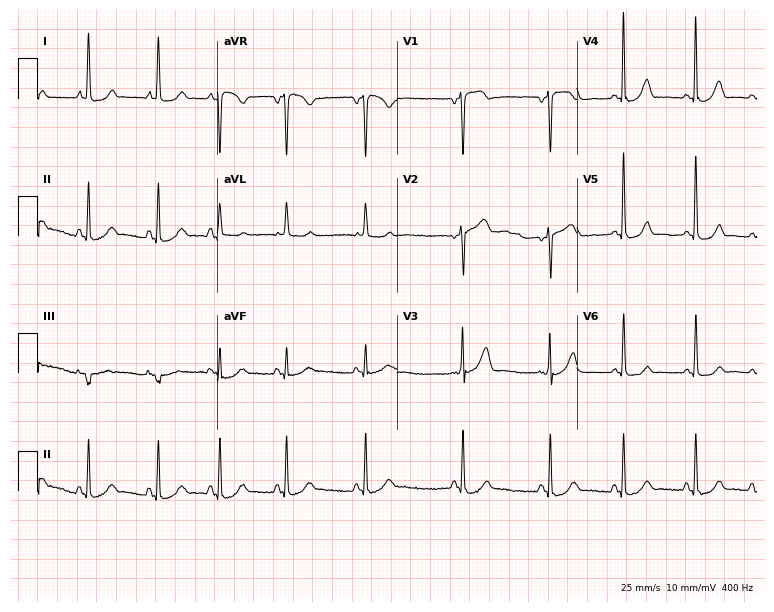
12-lead ECG from a 61-year-old female. No first-degree AV block, right bundle branch block (RBBB), left bundle branch block (LBBB), sinus bradycardia, atrial fibrillation (AF) or sinus tachycardia recorded for this tracing. Only these six findings were labelled.